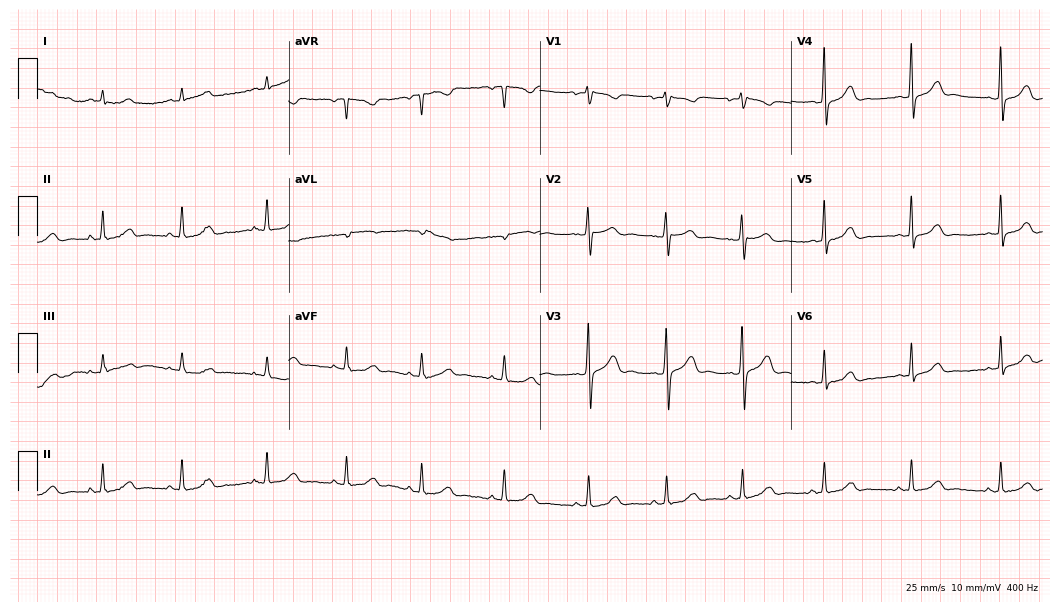
12-lead ECG from a female patient, 22 years old (10.2-second recording at 400 Hz). Recorded interpretation: within normal limits.